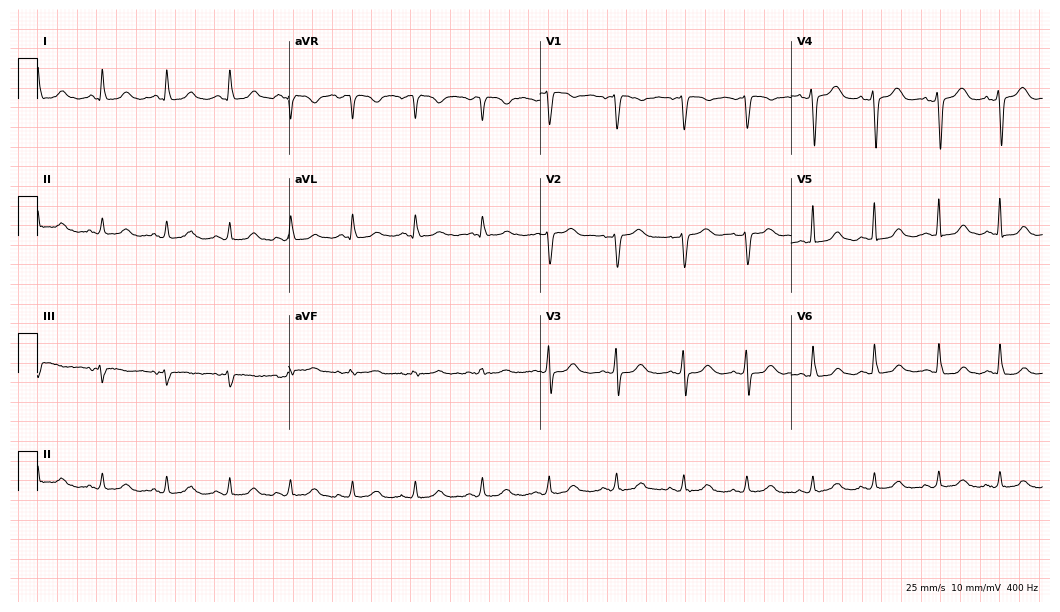
12-lead ECG from a woman, 44 years old. Screened for six findings — first-degree AV block, right bundle branch block (RBBB), left bundle branch block (LBBB), sinus bradycardia, atrial fibrillation (AF), sinus tachycardia — none is recorded. Only these six findings were labelled.